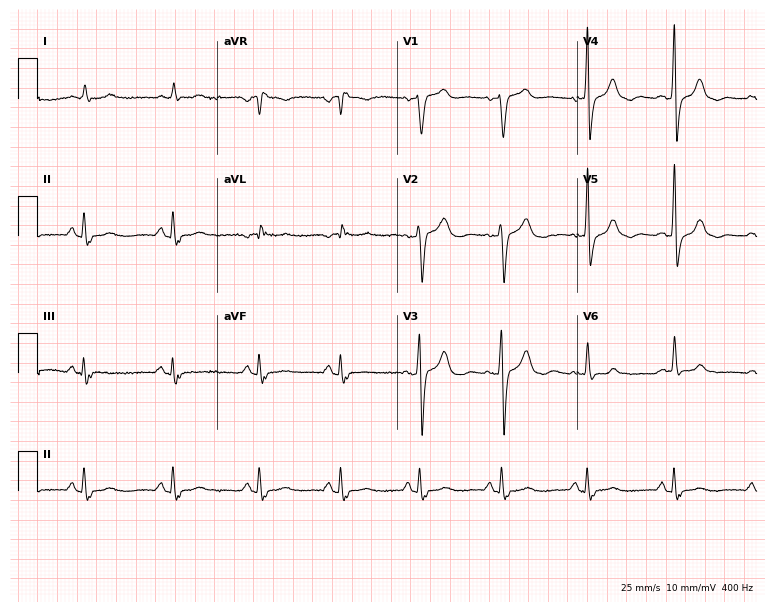
12-lead ECG from a 79-year-old man. Screened for six findings — first-degree AV block, right bundle branch block, left bundle branch block, sinus bradycardia, atrial fibrillation, sinus tachycardia — none is recorded. Findings outside these six are not listed.